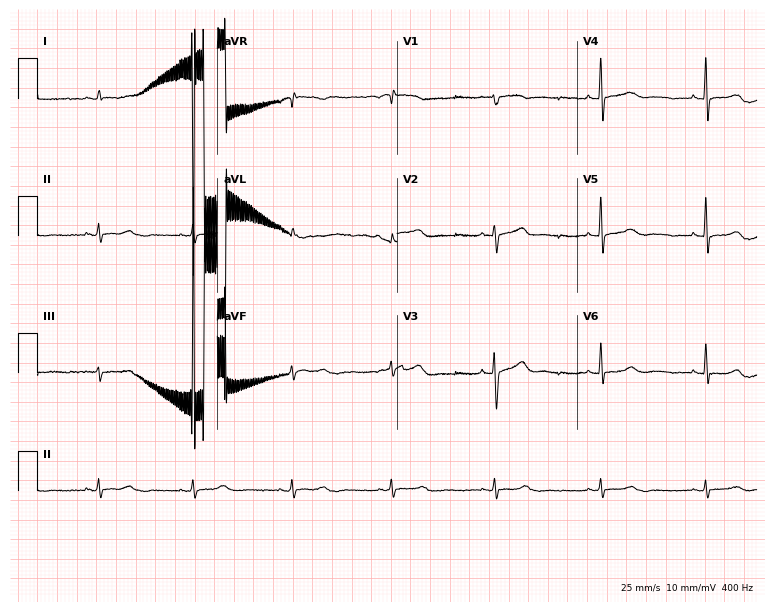
12-lead ECG (7.3-second recording at 400 Hz) from a 59-year-old female. Labelled as a normal ECG.